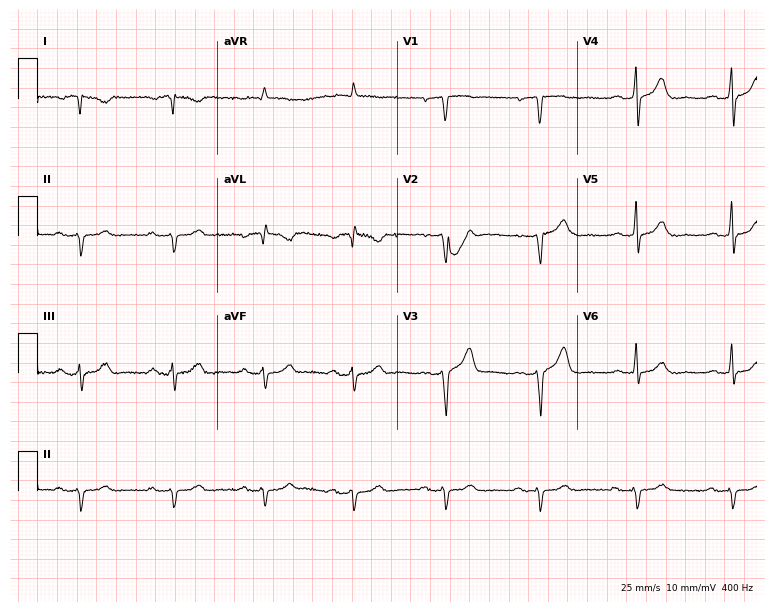
ECG (7.3-second recording at 400 Hz) — a male, 74 years old. Screened for six findings — first-degree AV block, right bundle branch block, left bundle branch block, sinus bradycardia, atrial fibrillation, sinus tachycardia — none is recorded.